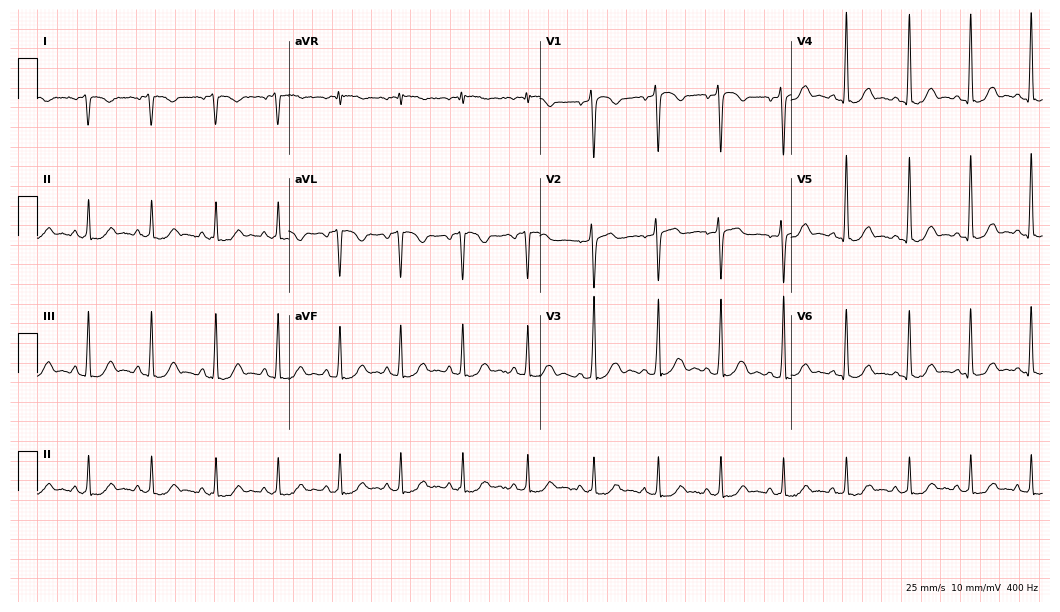
Electrocardiogram, a female patient, 28 years old. Overall reading on record: normal ECG.